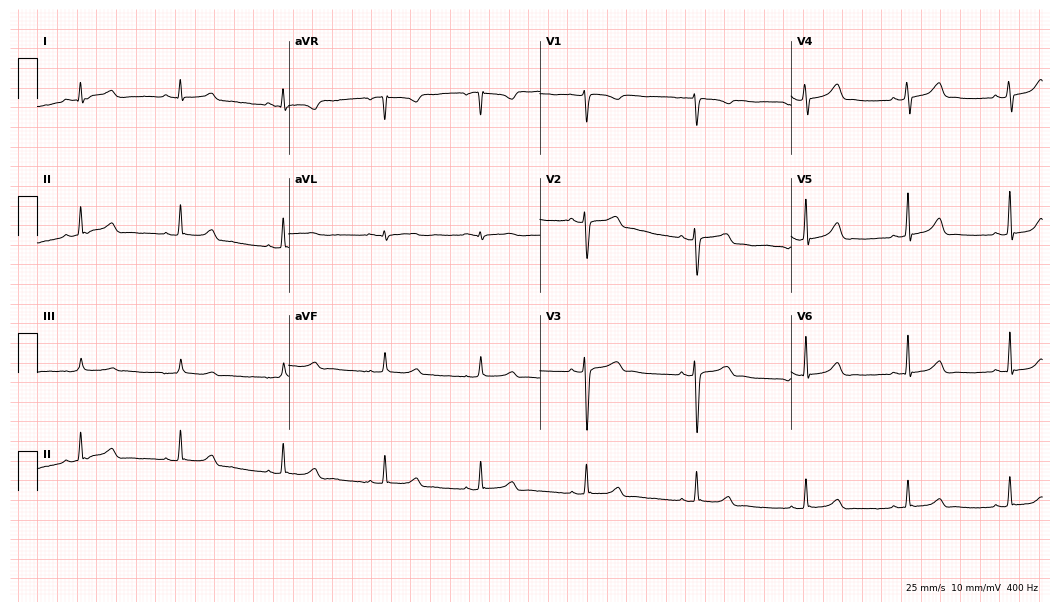
Electrocardiogram (10.2-second recording at 400 Hz), a 29-year-old woman. Overall reading on record: normal ECG.